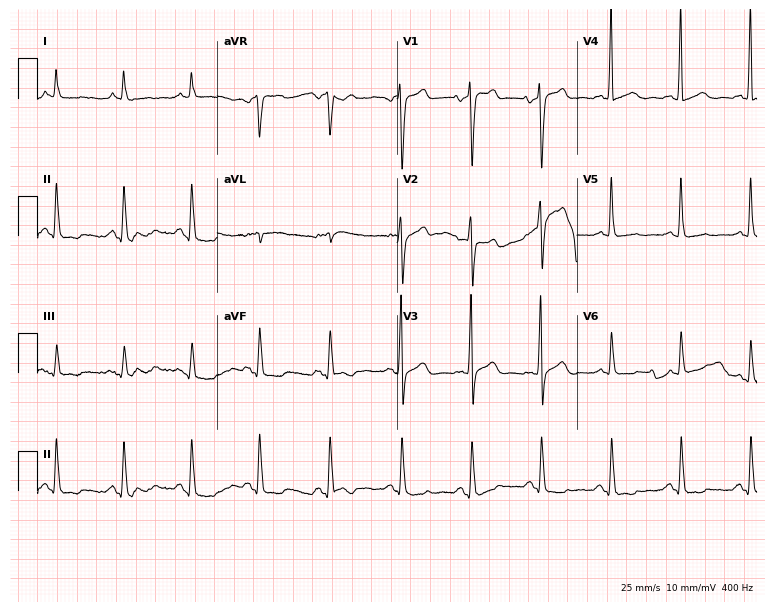
Standard 12-lead ECG recorded from an 84-year-old male (7.3-second recording at 400 Hz). None of these six findings is recorded: first-degree AV block, right bundle branch block, left bundle branch block, sinus bradycardia, atrial fibrillation, sinus tachycardia.